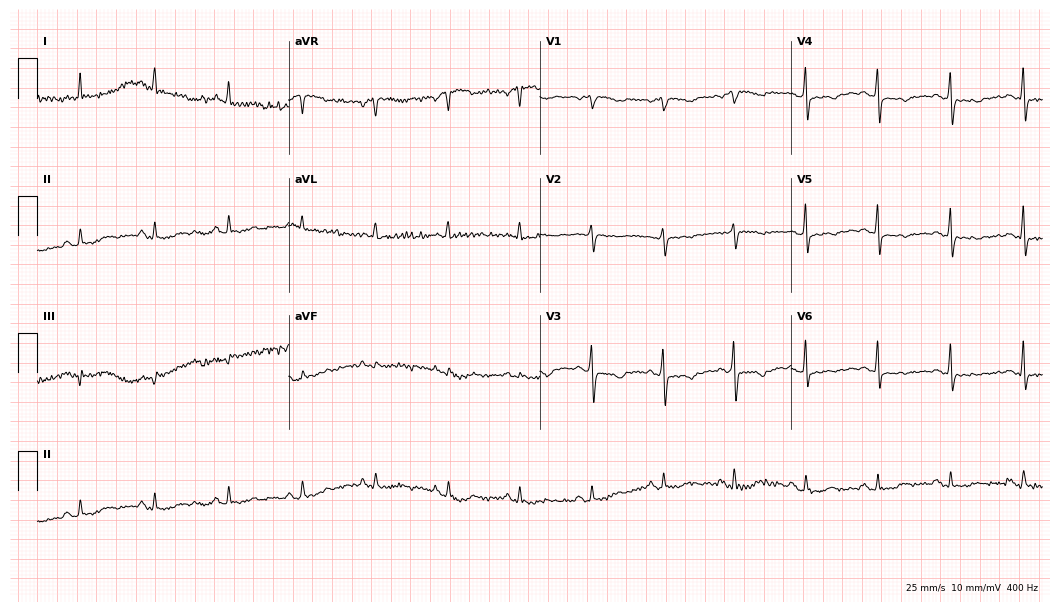
Electrocardiogram, a 65-year-old female. Of the six screened findings (first-degree AV block, right bundle branch block, left bundle branch block, sinus bradycardia, atrial fibrillation, sinus tachycardia), none is recorded.